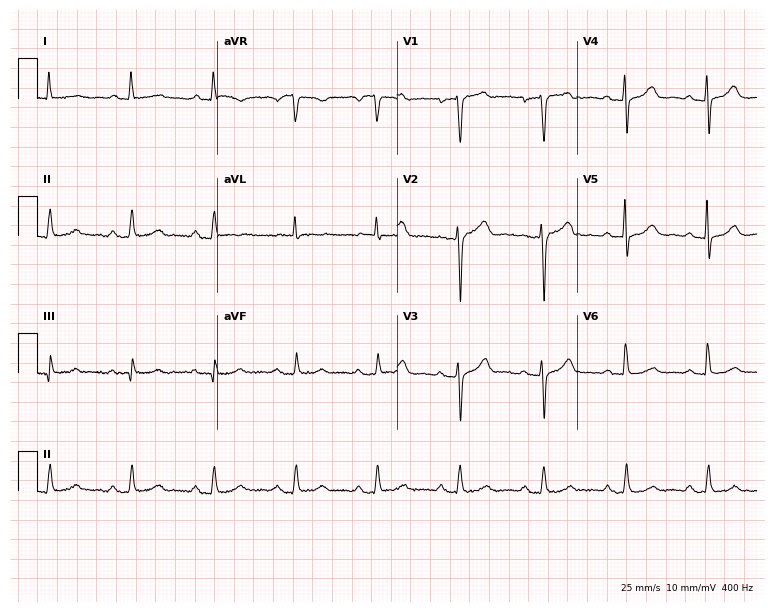
ECG — a man, 77 years old. Screened for six findings — first-degree AV block, right bundle branch block, left bundle branch block, sinus bradycardia, atrial fibrillation, sinus tachycardia — none is recorded. Other findings, if any, are not listed.